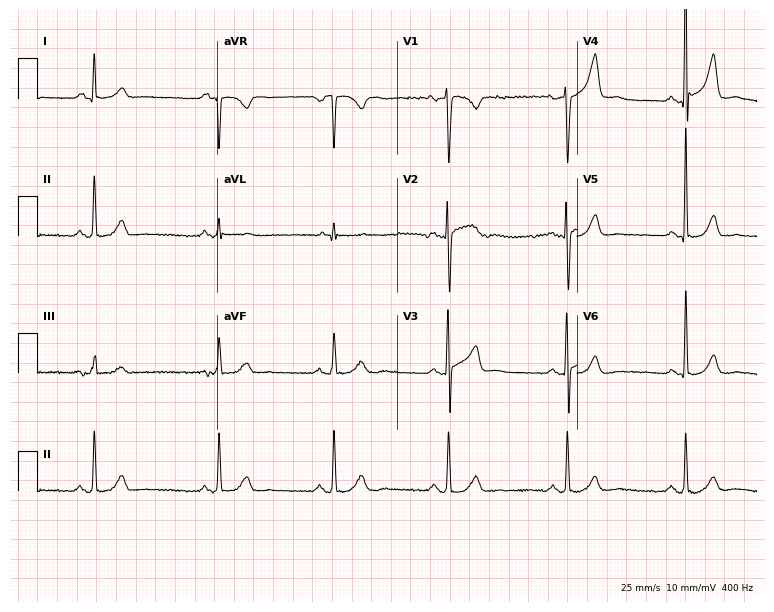
12-lead ECG (7.3-second recording at 400 Hz) from a 51-year-old man. Labelled as a normal ECG.